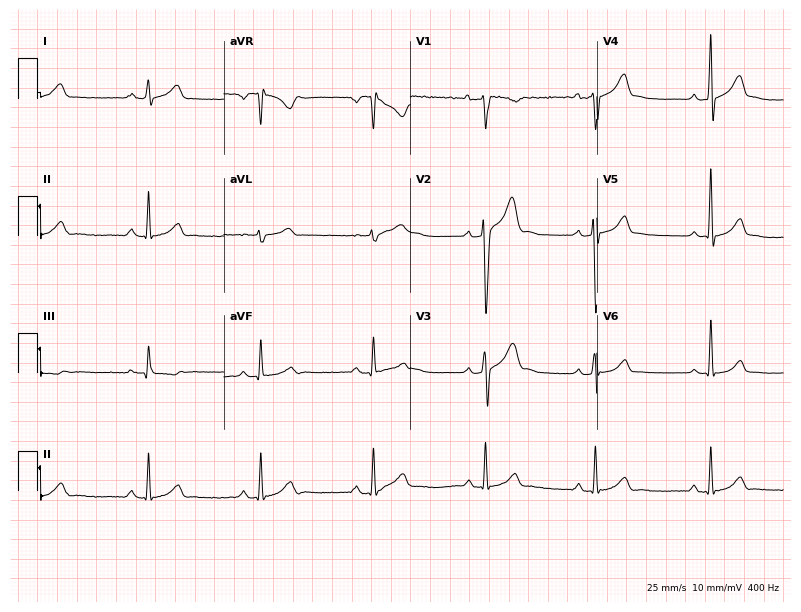
Electrocardiogram, a 33-year-old man. Of the six screened findings (first-degree AV block, right bundle branch block (RBBB), left bundle branch block (LBBB), sinus bradycardia, atrial fibrillation (AF), sinus tachycardia), none is recorded. Only these six findings were labelled.